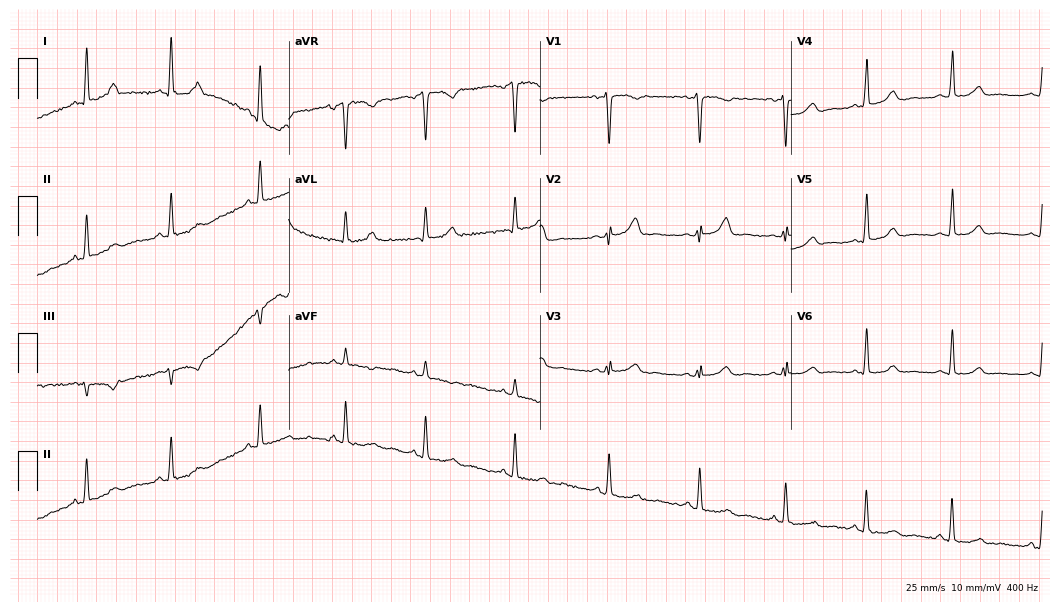
12-lead ECG from a 41-year-old female patient. Screened for six findings — first-degree AV block, right bundle branch block, left bundle branch block, sinus bradycardia, atrial fibrillation, sinus tachycardia — none is recorded. Other findings, if any, are not listed.